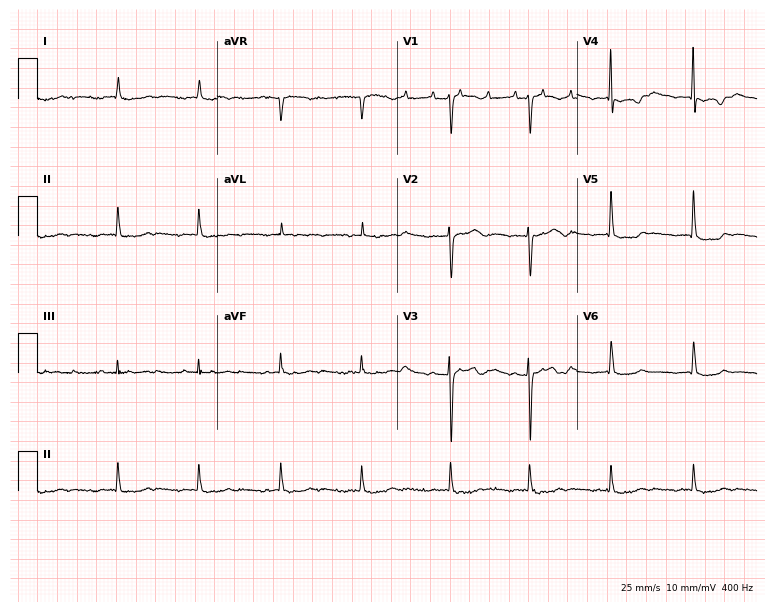
12-lead ECG (7.3-second recording at 400 Hz) from a female, 83 years old. Screened for six findings — first-degree AV block, right bundle branch block, left bundle branch block, sinus bradycardia, atrial fibrillation, sinus tachycardia — none is recorded. Other findings, if any, are not listed.